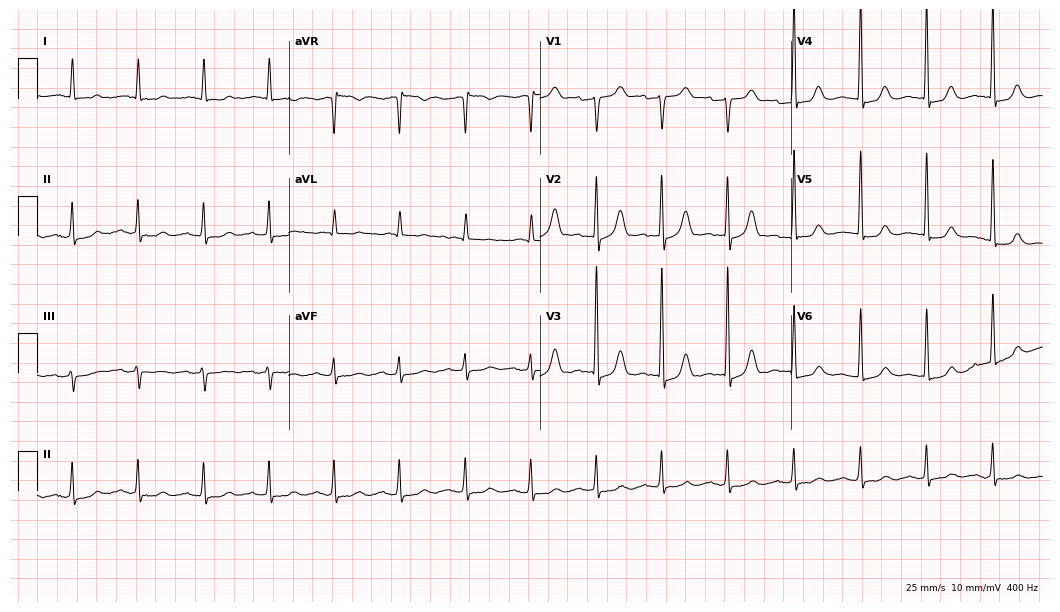
Resting 12-lead electrocardiogram. Patient: an 84-year-old female. None of these six findings is recorded: first-degree AV block, right bundle branch block, left bundle branch block, sinus bradycardia, atrial fibrillation, sinus tachycardia.